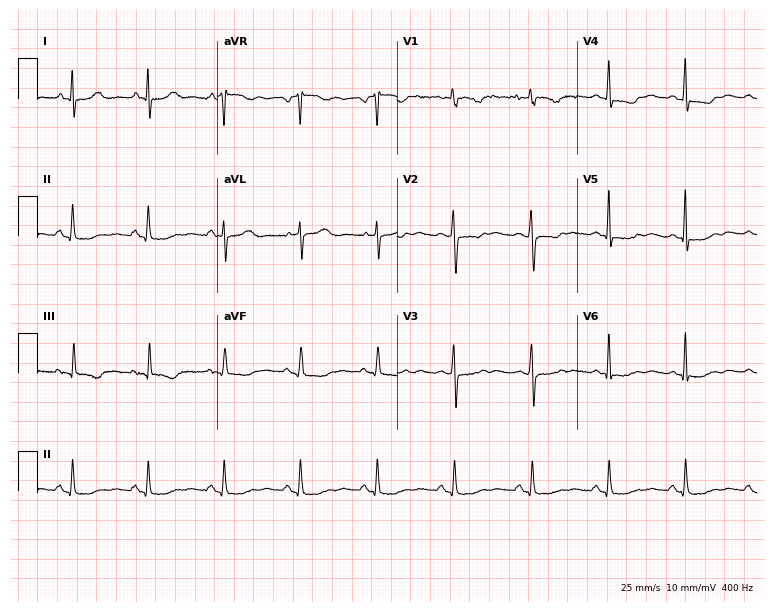
Resting 12-lead electrocardiogram (7.3-second recording at 400 Hz). Patient: a female, 42 years old. None of these six findings is recorded: first-degree AV block, right bundle branch block, left bundle branch block, sinus bradycardia, atrial fibrillation, sinus tachycardia.